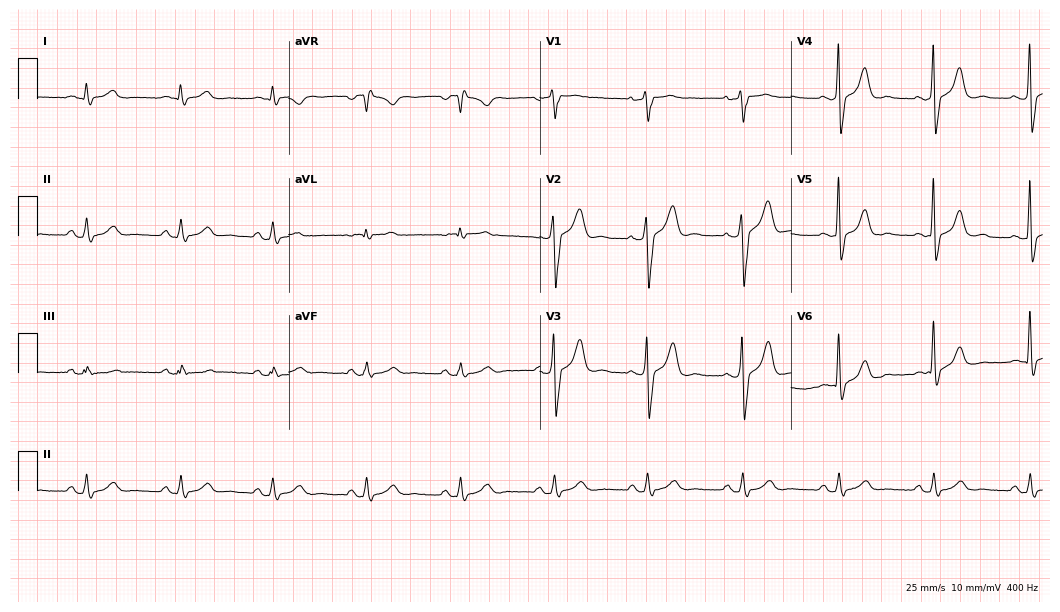
ECG — a male patient, 65 years old. Screened for six findings — first-degree AV block, right bundle branch block, left bundle branch block, sinus bradycardia, atrial fibrillation, sinus tachycardia — none is recorded.